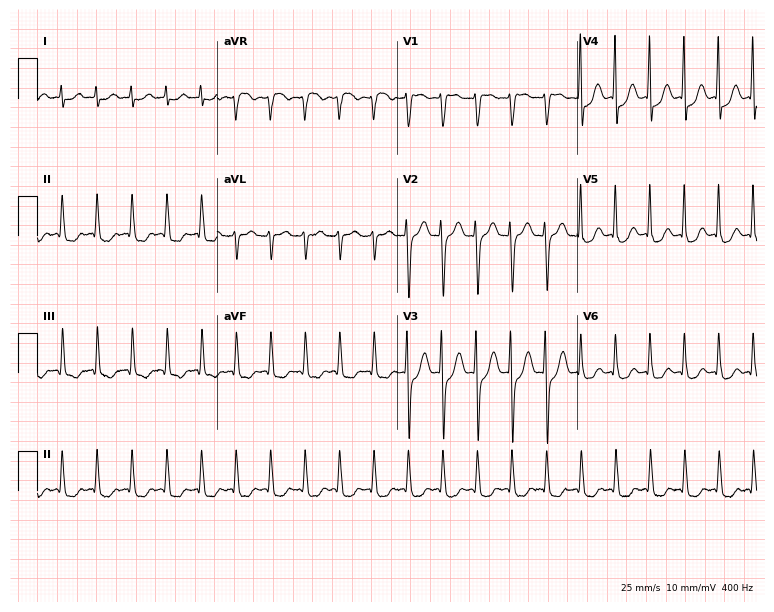
Resting 12-lead electrocardiogram (7.3-second recording at 400 Hz). Patient: a 57-year-old woman. The tracing shows sinus tachycardia (a sinus rate of 100 beats per minute or more).